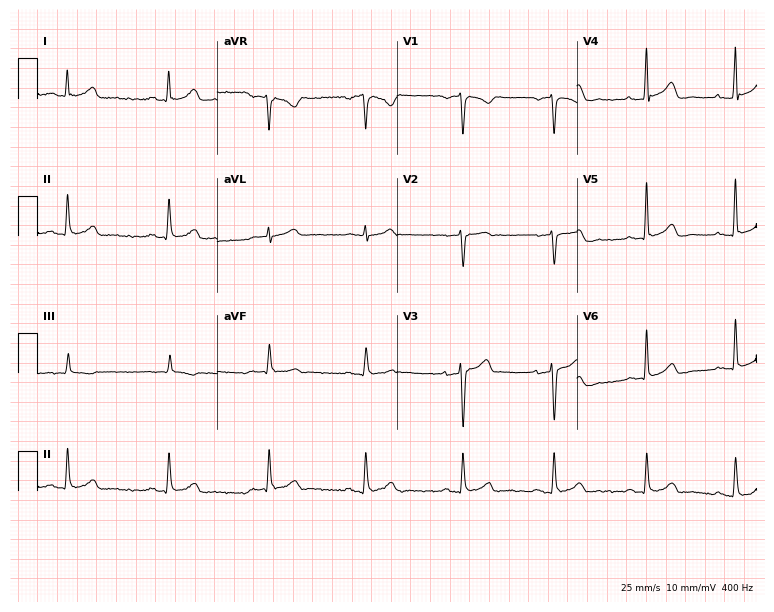
ECG — a 45-year-old male. Screened for six findings — first-degree AV block, right bundle branch block, left bundle branch block, sinus bradycardia, atrial fibrillation, sinus tachycardia — none is recorded. Only these six findings were labelled.